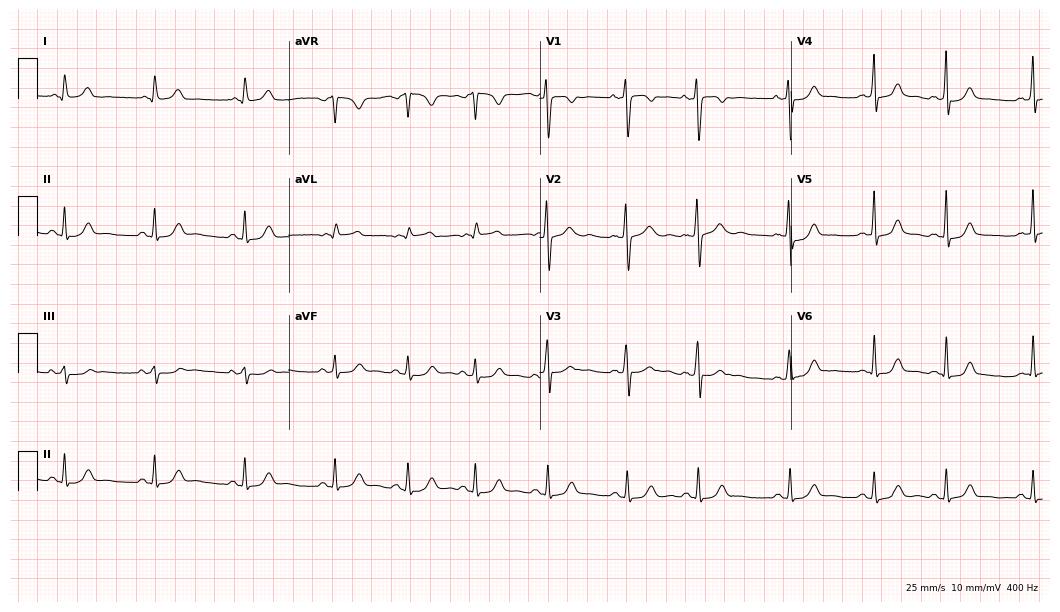
ECG — a female, 19 years old. Labelled as a normal ECG.